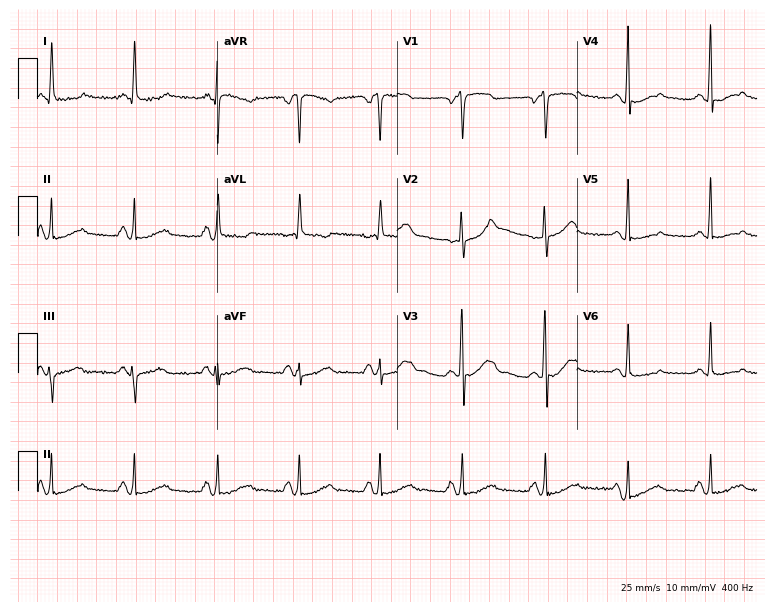
12-lead ECG from a 58-year-old woman. Labelled as a normal ECG.